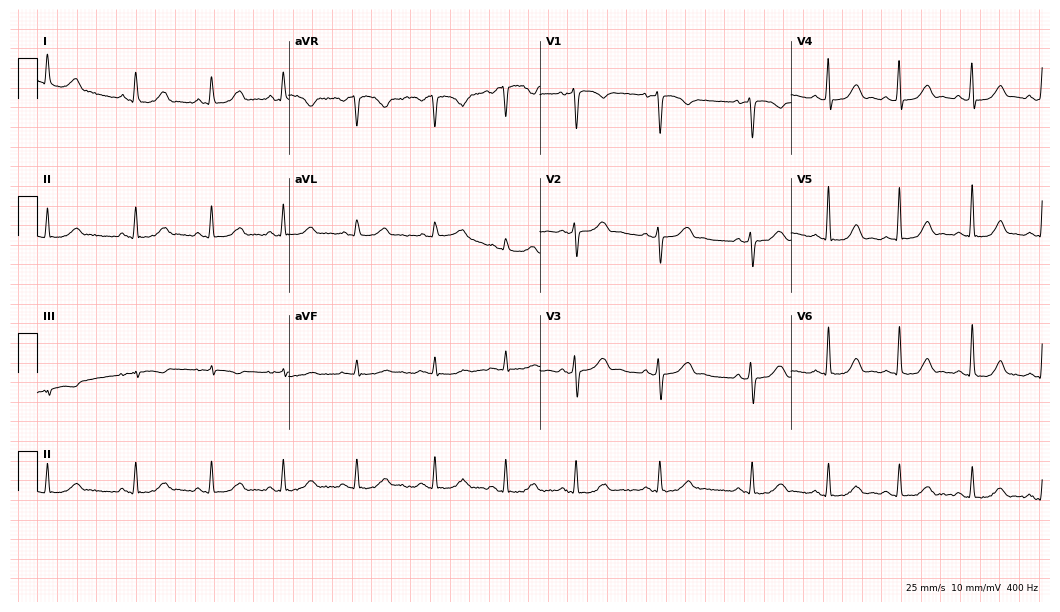
12-lead ECG (10.2-second recording at 400 Hz) from a female, 34 years old. Screened for six findings — first-degree AV block, right bundle branch block, left bundle branch block, sinus bradycardia, atrial fibrillation, sinus tachycardia — none is recorded.